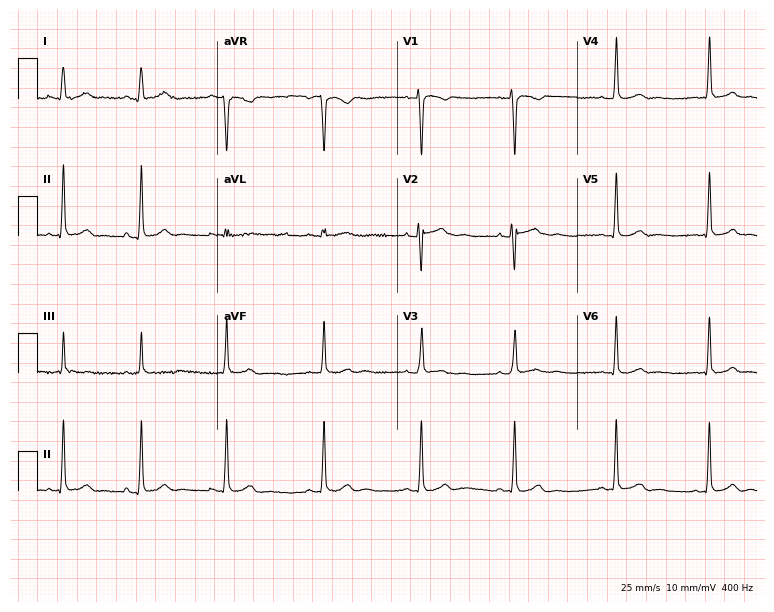
12-lead ECG from a female patient, 18 years old. Labelled as a normal ECG.